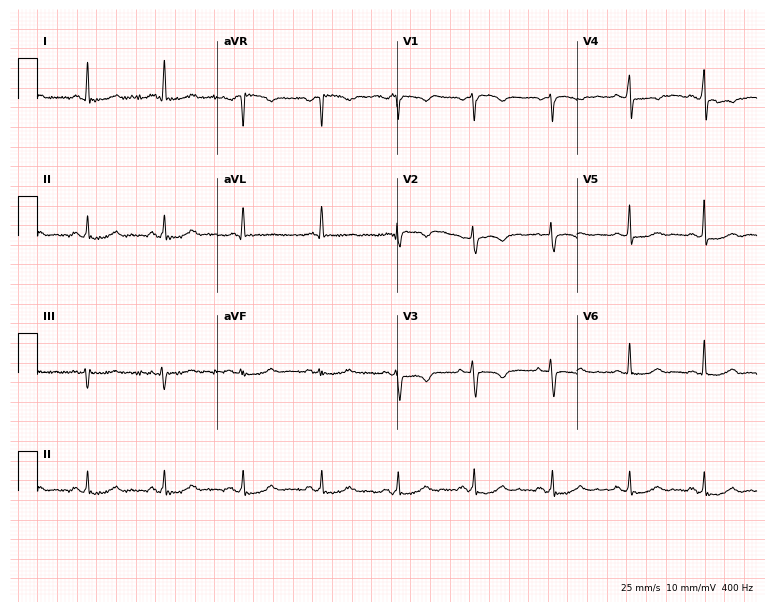
Standard 12-lead ECG recorded from a female patient, 63 years old. None of these six findings is recorded: first-degree AV block, right bundle branch block, left bundle branch block, sinus bradycardia, atrial fibrillation, sinus tachycardia.